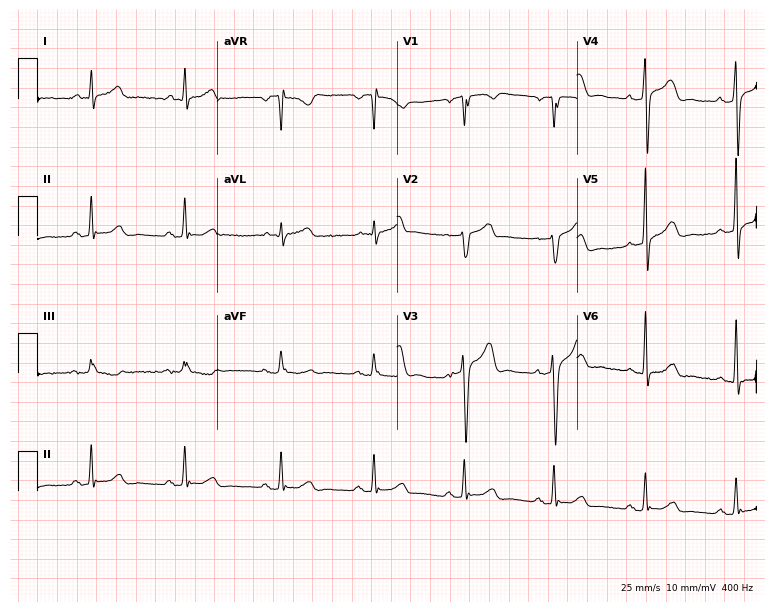
Standard 12-lead ECG recorded from a man, 41 years old. None of these six findings is recorded: first-degree AV block, right bundle branch block (RBBB), left bundle branch block (LBBB), sinus bradycardia, atrial fibrillation (AF), sinus tachycardia.